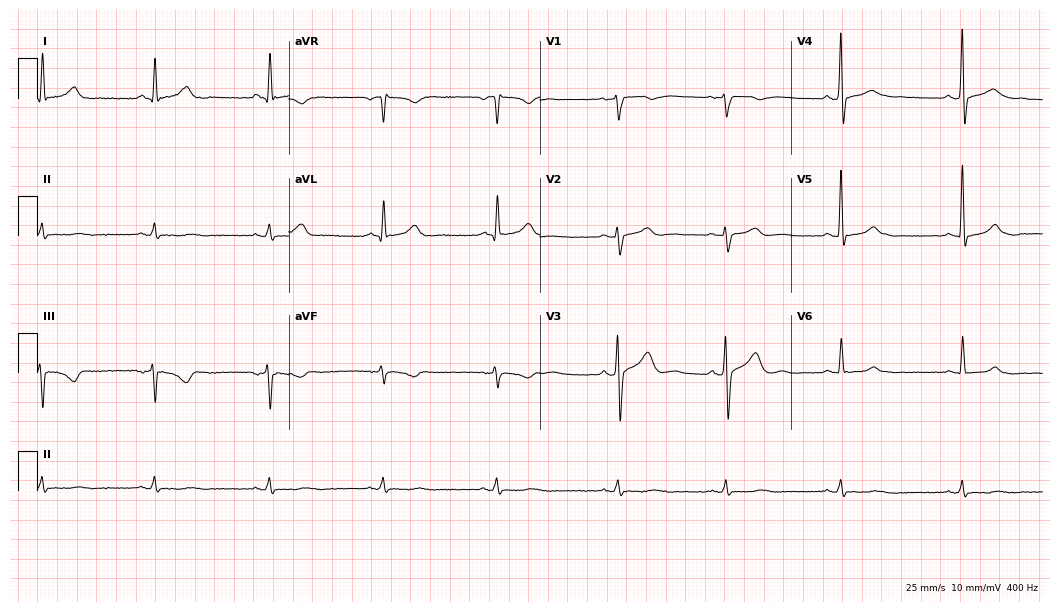
Resting 12-lead electrocardiogram (10.2-second recording at 400 Hz). Patient: a 54-year-old male. Read as a normal ECG.